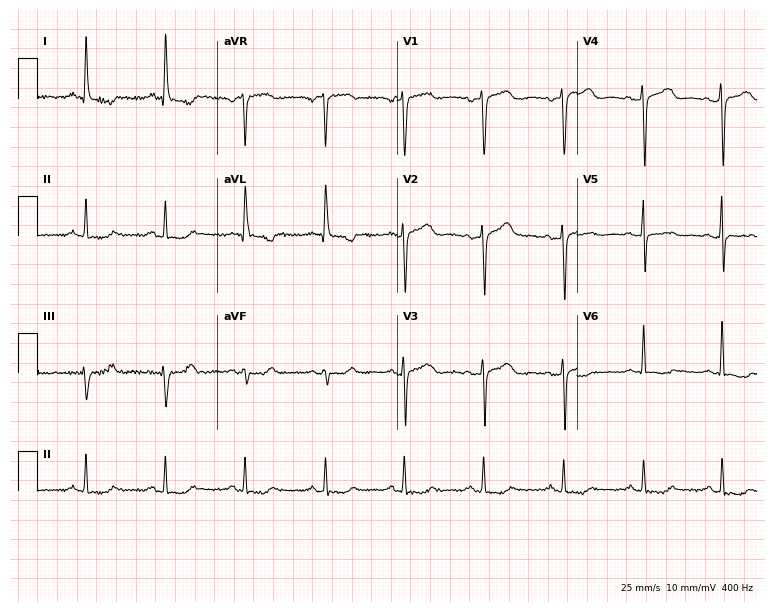
Standard 12-lead ECG recorded from a 62-year-old female patient. None of these six findings is recorded: first-degree AV block, right bundle branch block, left bundle branch block, sinus bradycardia, atrial fibrillation, sinus tachycardia.